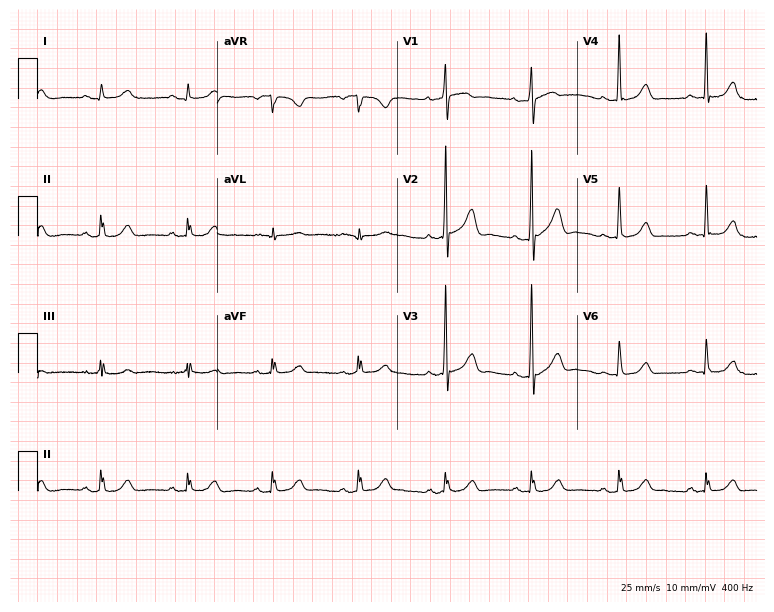
12-lead ECG from a female patient, 66 years old (7.3-second recording at 400 Hz). Recorded interpretation: within normal limits.